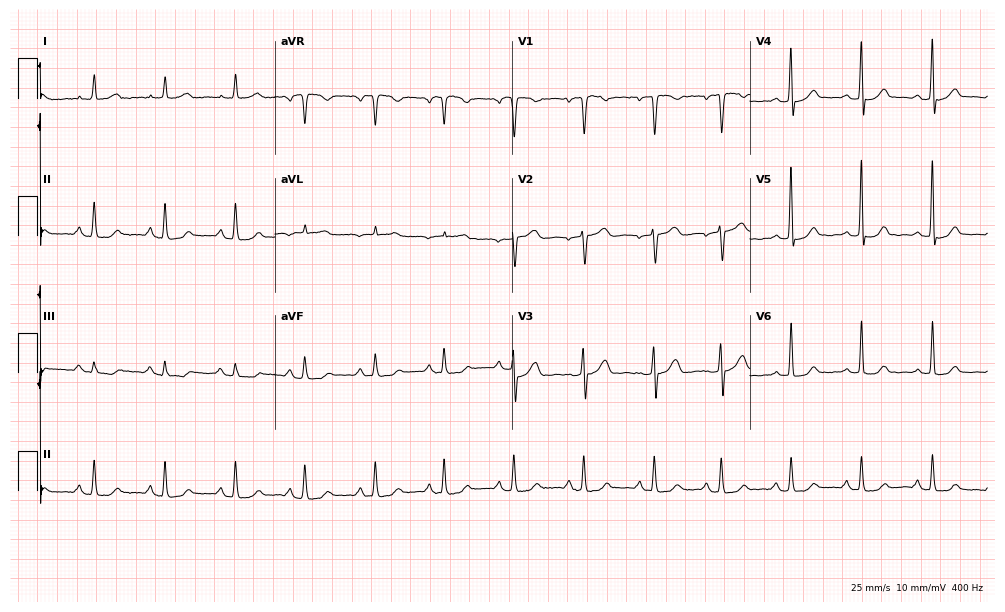
12-lead ECG (9.7-second recording at 400 Hz) from a 43-year-old female. Screened for six findings — first-degree AV block, right bundle branch block, left bundle branch block, sinus bradycardia, atrial fibrillation, sinus tachycardia — none is recorded. Only these six findings were labelled.